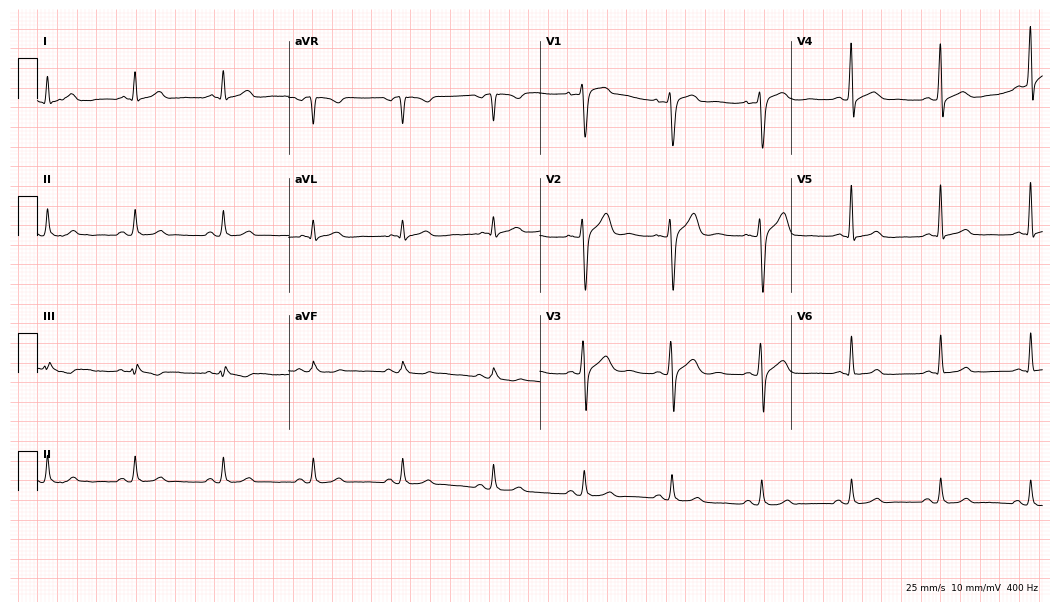
Resting 12-lead electrocardiogram (10.2-second recording at 400 Hz). Patient: a 38-year-old male. None of these six findings is recorded: first-degree AV block, right bundle branch block (RBBB), left bundle branch block (LBBB), sinus bradycardia, atrial fibrillation (AF), sinus tachycardia.